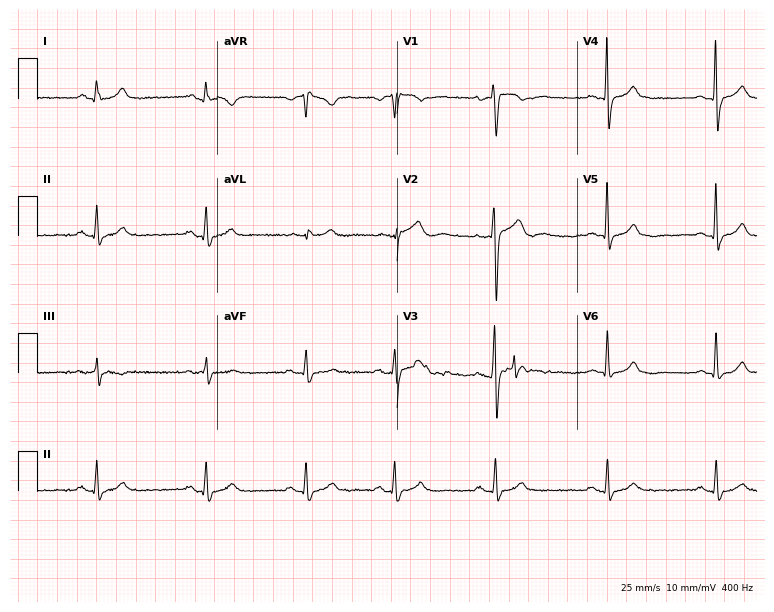
Standard 12-lead ECG recorded from a 35-year-old male patient. None of these six findings is recorded: first-degree AV block, right bundle branch block, left bundle branch block, sinus bradycardia, atrial fibrillation, sinus tachycardia. Other findings, if any, are not listed.